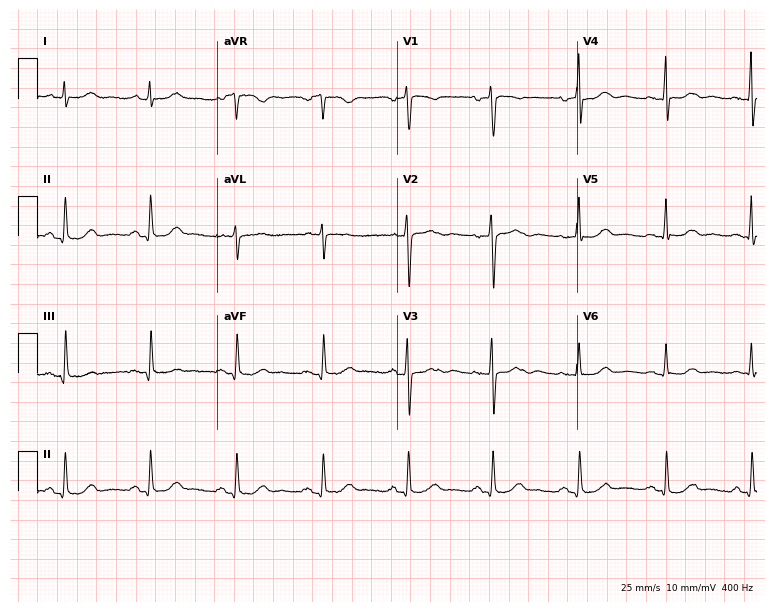
12-lead ECG (7.3-second recording at 400 Hz) from a female, 73 years old. Screened for six findings — first-degree AV block, right bundle branch block, left bundle branch block, sinus bradycardia, atrial fibrillation, sinus tachycardia — none is recorded.